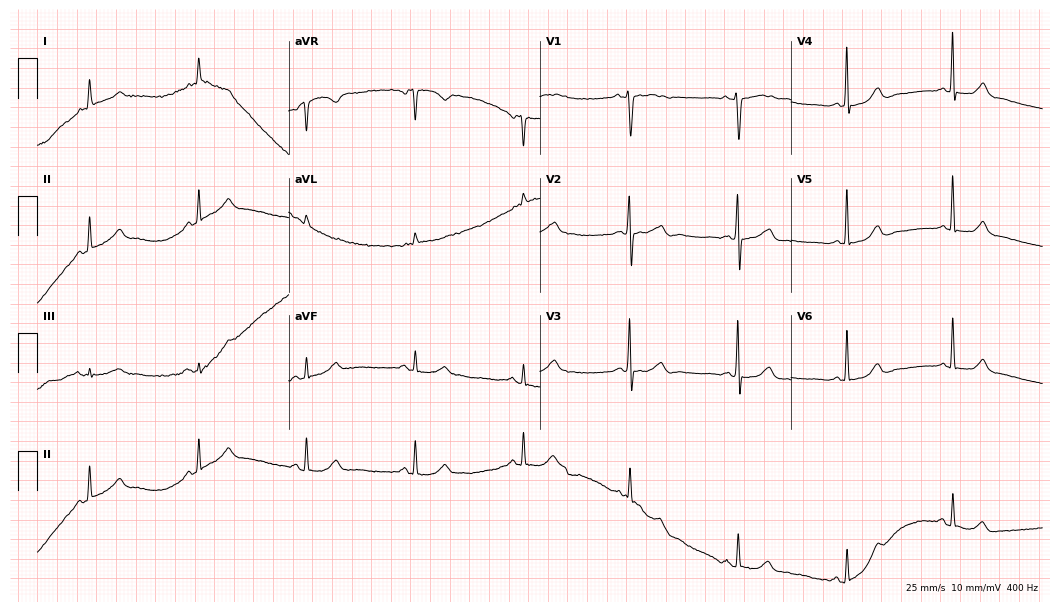
Standard 12-lead ECG recorded from a 77-year-old woman. Read as a normal ECG.